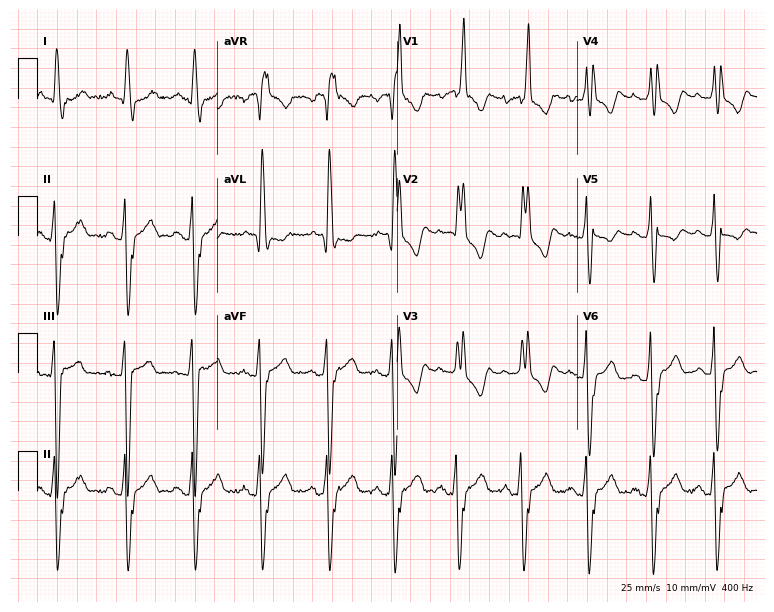
Electrocardiogram, a male patient, 71 years old. Interpretation includes right bundle branch block (RBBB).